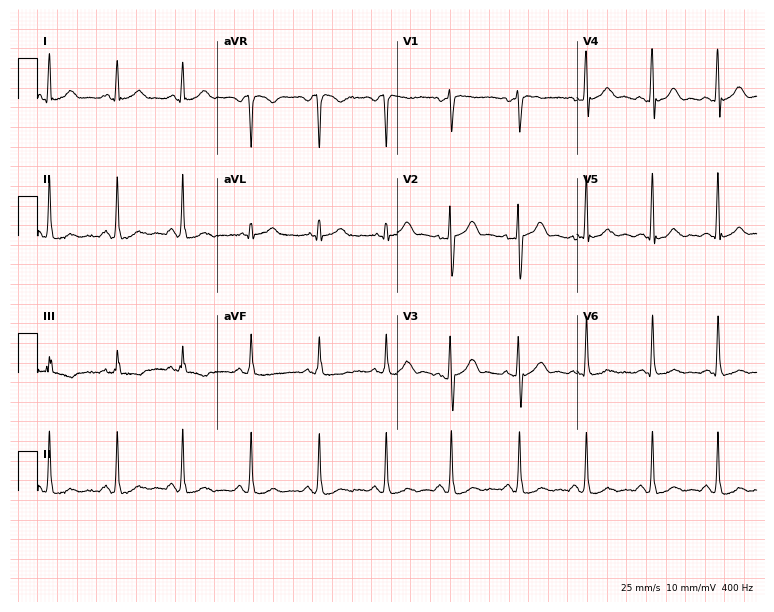
Electrocardiogram (7.3-second recording at 400 Hz), a 41-year-old female. Of the six screened findings (first-degree AV block, right bundle branch block, left bundle branch block, sinus bradycardia, atrial fibrillation, sinus tachycardia), none is recorded. Findings outside these six are not listed.